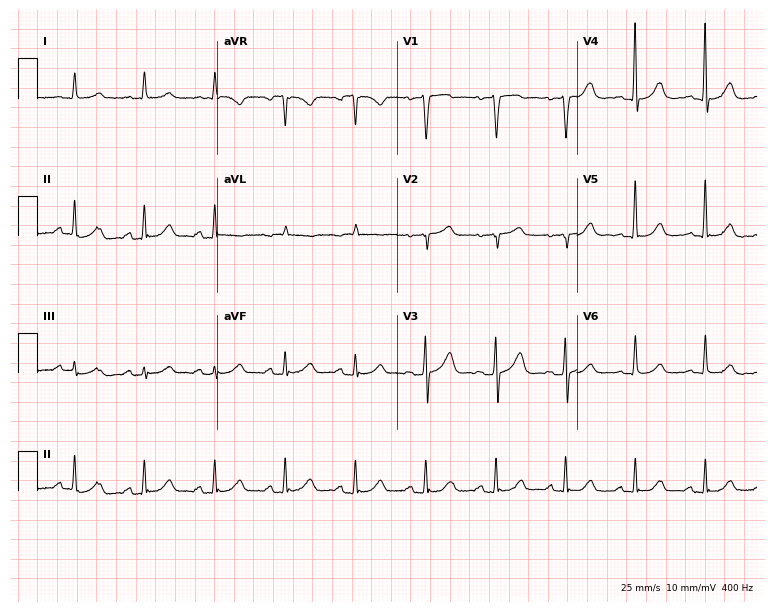
12-lead ECG (7.3-second recording at 400 Hz) from a male, 68 years old. Screened for six findings — first-degree AV block, right bundle branch block, left bundle branch block, sinus bradycardia, atrial fibrillation, sinus tachycardia — none is recorded.